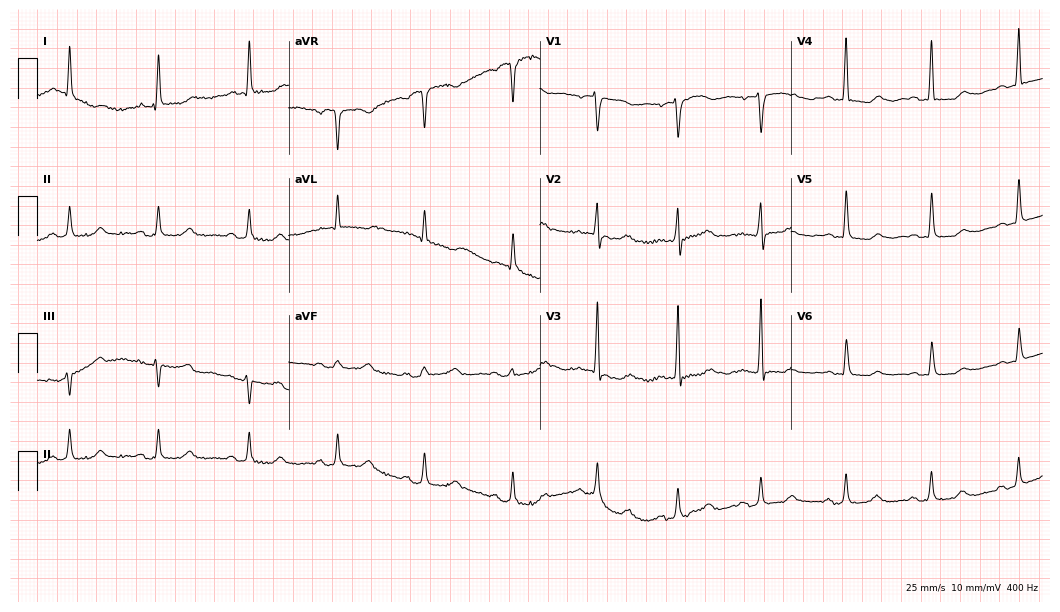
12-lead ECG from a 66-year-old female patient (10.2-second recording at 400 Hz). No first-degree AV block, right bundle branch block, left bundle branch block, sinus bradycardia, atrial fibrillation or sinus tachycardia recorded for this tracing.